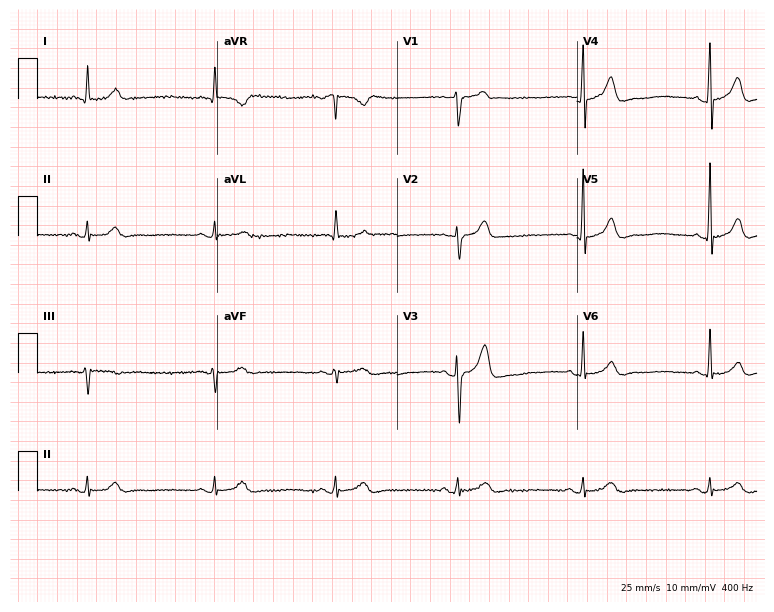
ECG (7.3-second recording at 400 Hz) — a male, 70 years old. Findings include sinus bradycardia (a sinus rate of 50 beats per minute or less).